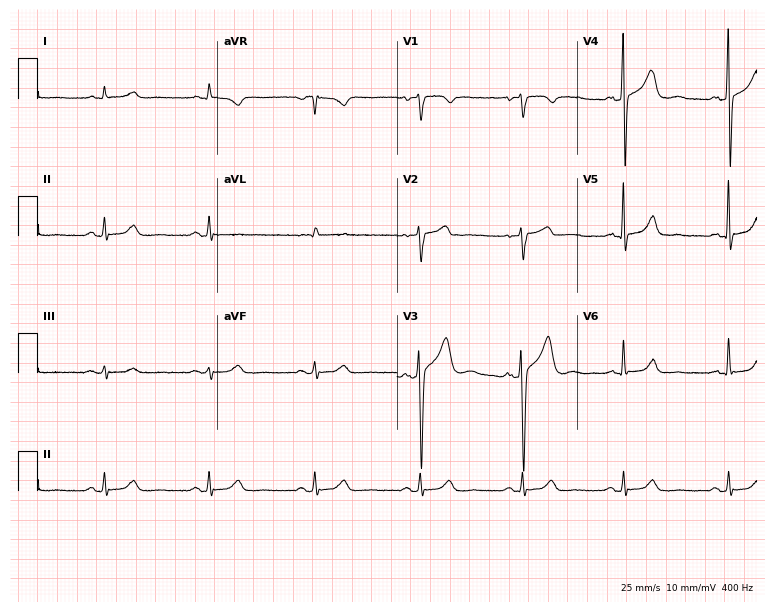
Electrocardiogram (7.3-second recording at 400 Hz), a 50-year-old male. Overall reading on record: normal ECG.